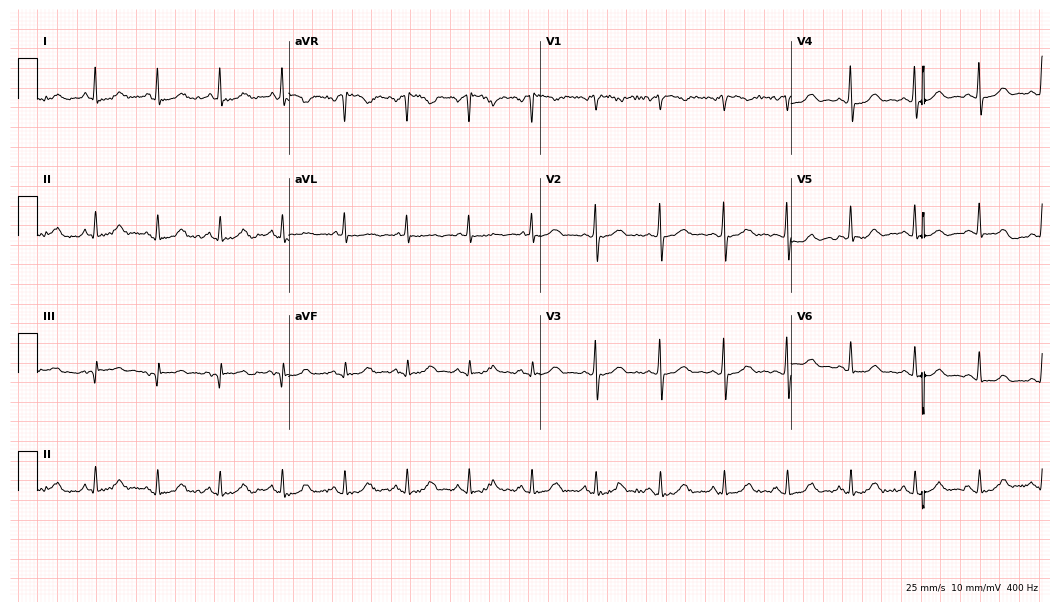
ECG — a 57-year-old female patient. Screened for six findings — first-degree AV block, right bundle branch block (RBBB), left bundle branch block (LBBB), sinus bradycardia, atrial fibrillation (AF), sinus tachycardia — none is recorded.